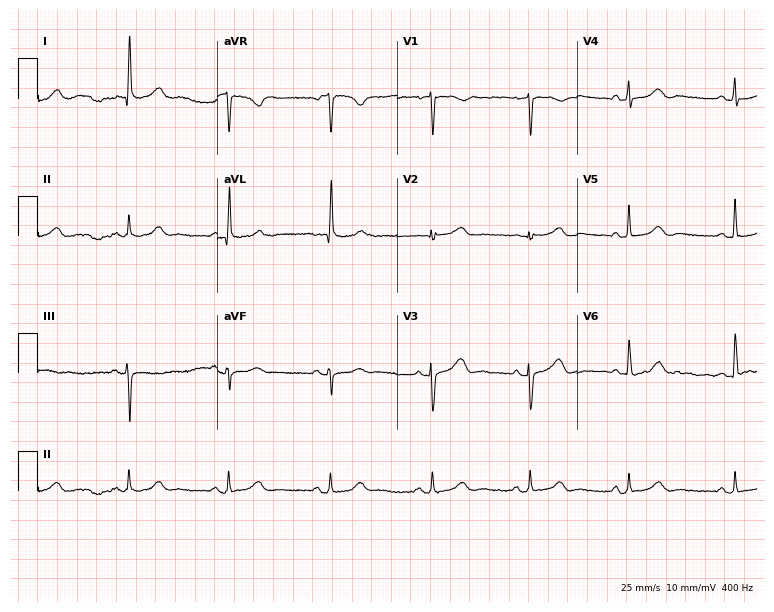
12-lead ECG from a female, 83 years old. No first-degree AV block, right bundle branch block, left bundle branch block, sinus bradycardia, atrial fibrillation or sinus tachycardia recorded for this tracing.